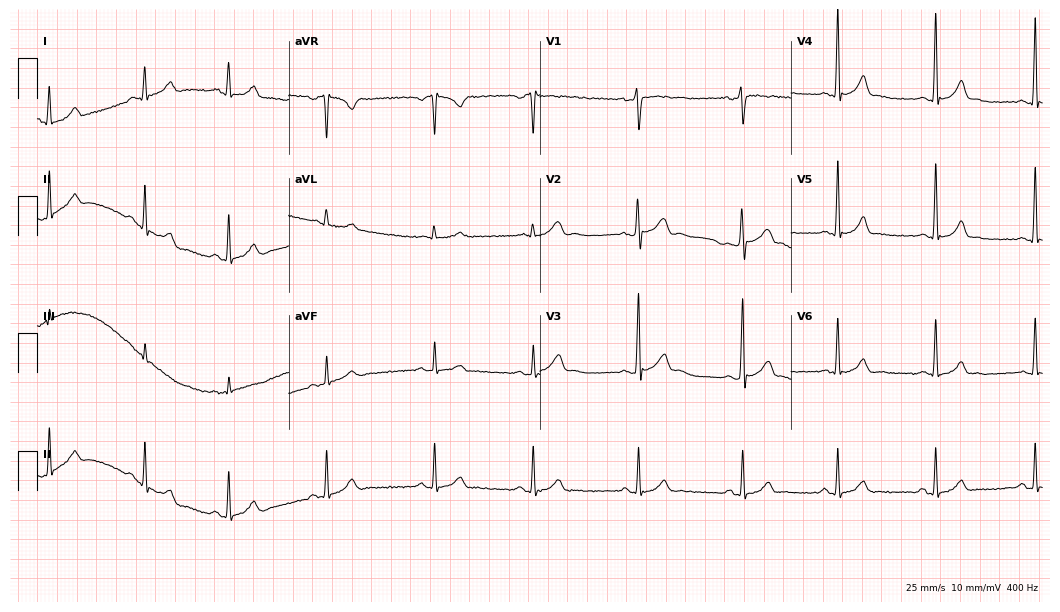
12-lead ECG from a 24-year-old male (10.2-second recording at 400 Hz). No first-degree AV block, right bundle branch block, left bundle branch block, sinus bradycardia, atrial fibrillation or sinus tachycardia recorded for this tracing.